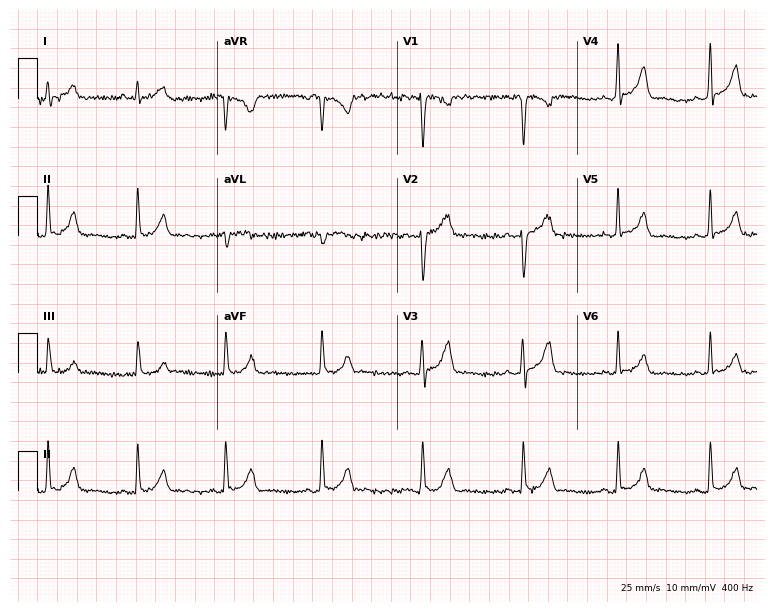
Resting 12-lead electrocardiogram (7.3-second recording at 400 Hz). Patient: a 19-year-old woman. None of these six findings is recorded: first-degree AV block, right bundle branch block, left bundle branch block, sinus bradycardia, atrial fibrillation, sinus tachycardia.